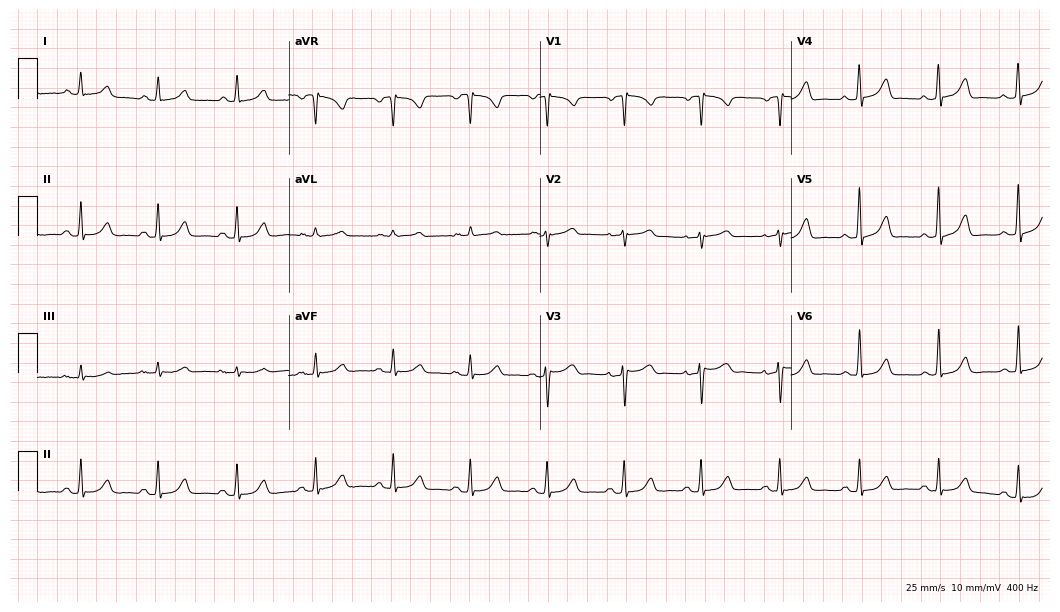
Resting 12-lead electrocardiogram. Patient: a female, 50 years old. Read as a normal ECG.